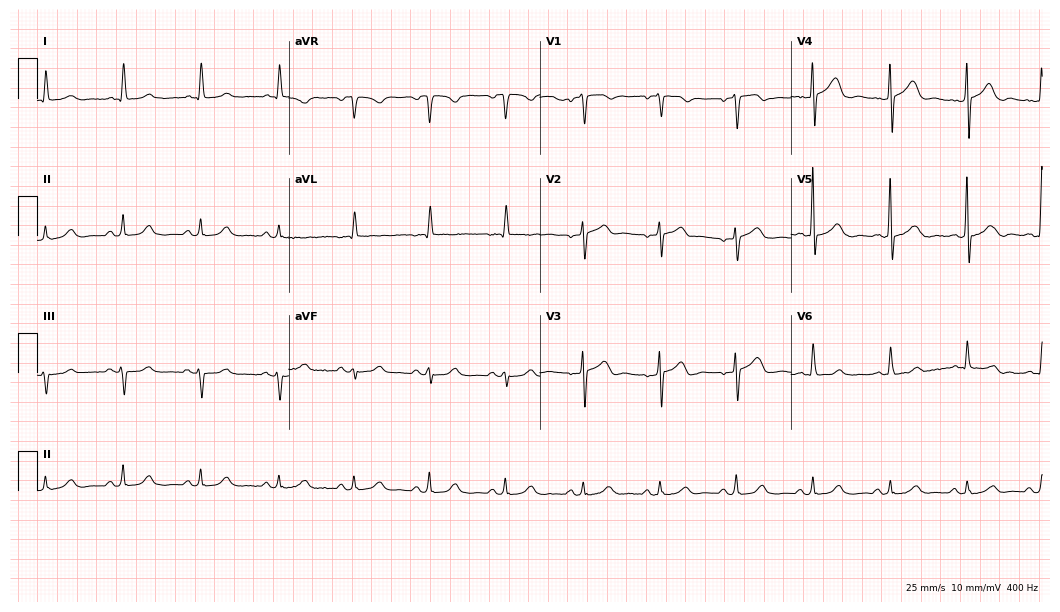
12-lead ECG from a woman, 80 years old. Labelled as a normal ECG.